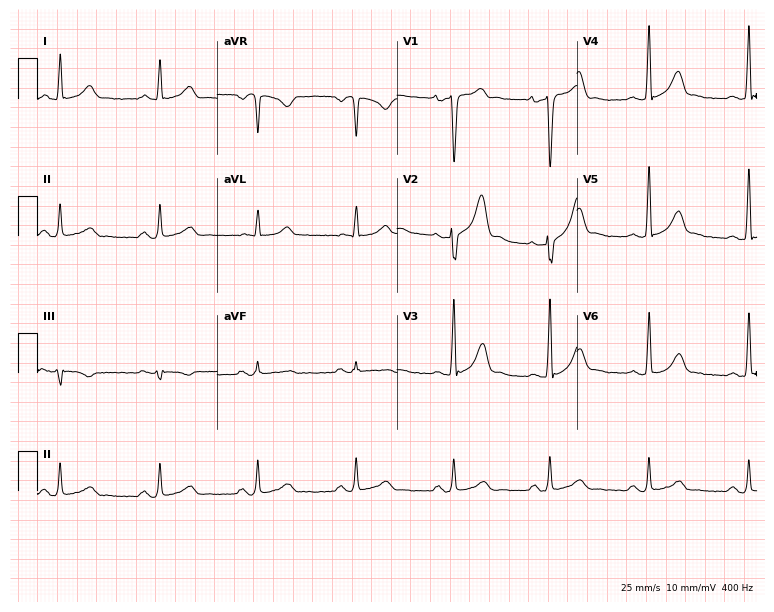
12-lead ECG from a man, 49 years old. Screened for six findings — first-degree AV block, right bundle branch block (RBBB), left bundle branch block (LBBB), sinus bradycardia, atrial fibrillation (AF), sinus tachycardia — none is recorded. Other findings, if any, are not listed.